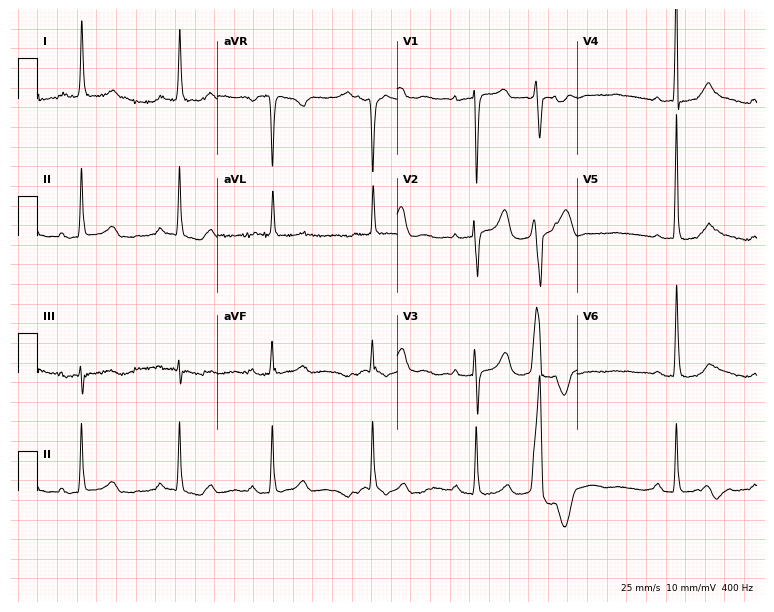
ECG — a woman, 83 years old. Screened for six findings — first-degree AV block, right bundle branch block, left bundle branch block, sinus bradycardia, atrial fibrillation, sinus tachycardia — none is recorded.